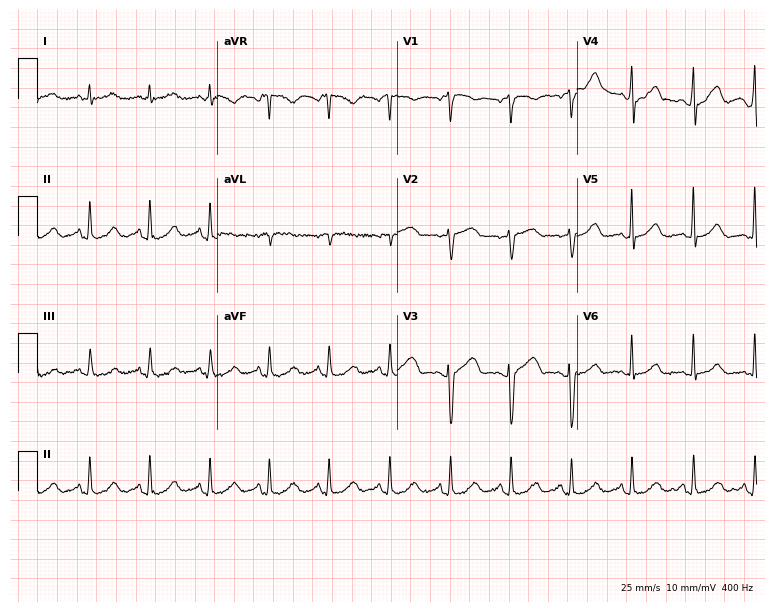
12-lead ECG from a male patient, 48 years old. Recorded interpretation: within normal limits.